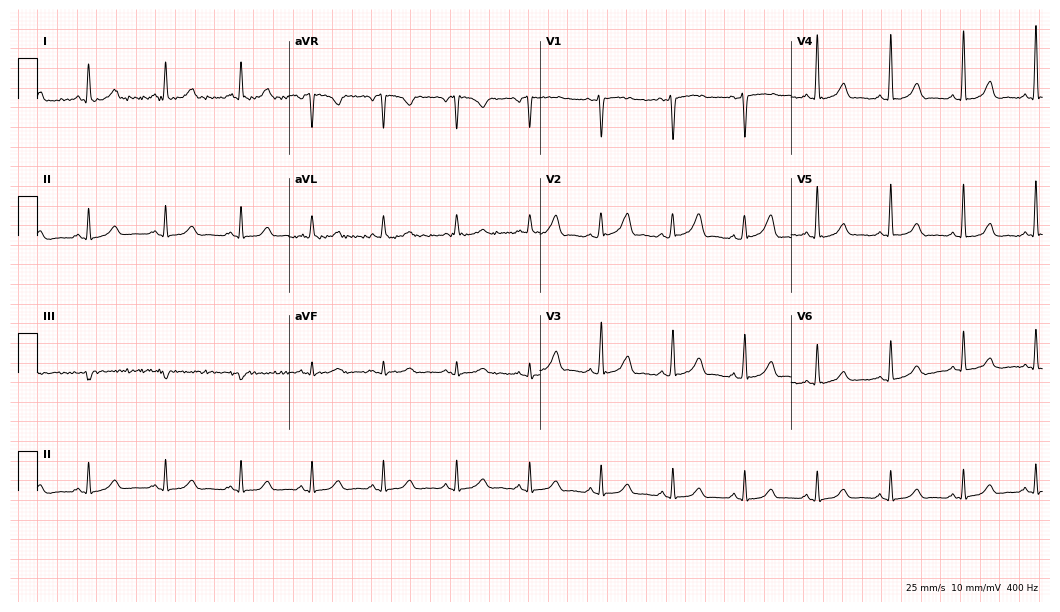
Standard 12-lead ECG recorded from a 52-year-old female (10.2-second recording at 400 Hz). Read as a normal ECG.